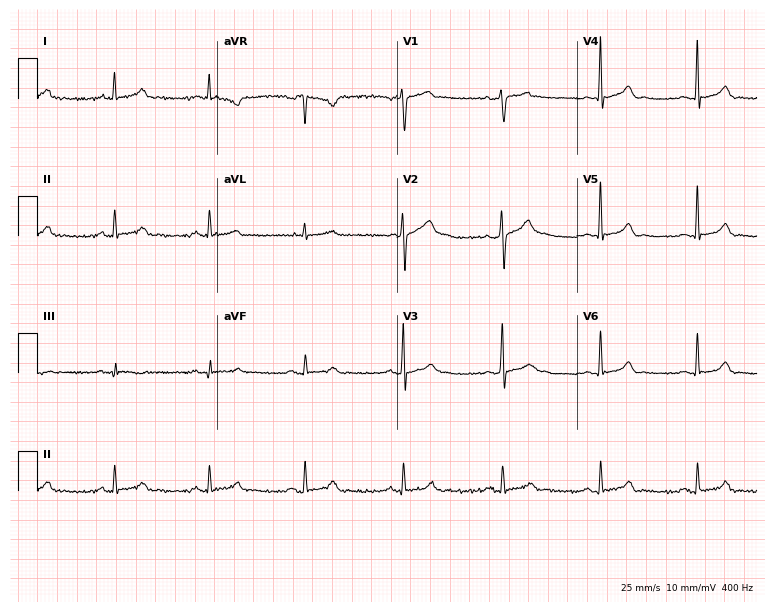
ECG — a man, 50 years old. Labelled as a normal ECG.